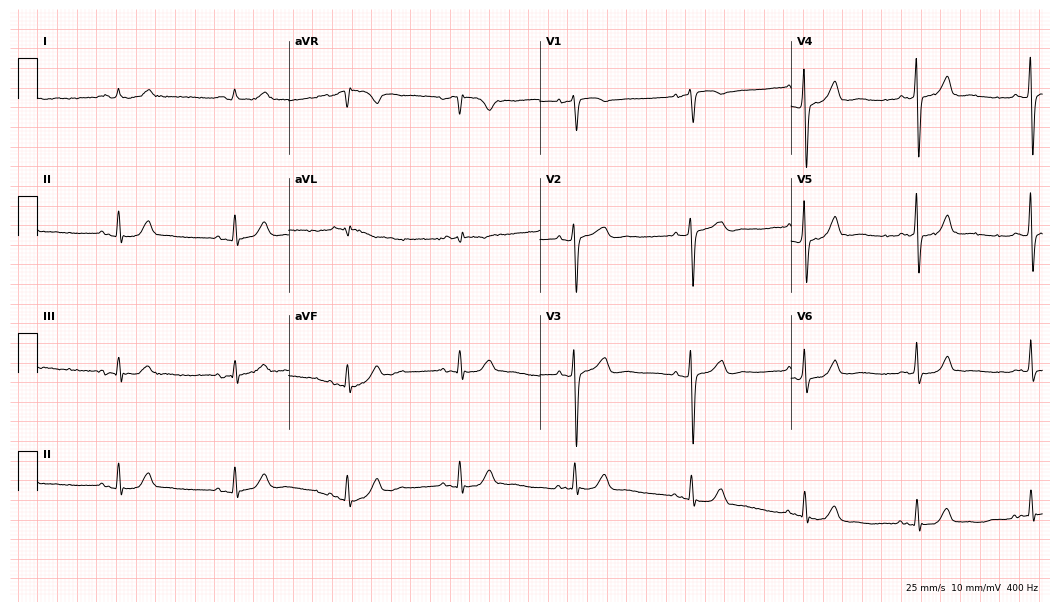
Standard 12-lead ECG recorded from an 80-year-old woman (10.2-second recording at 400 Hz). None of these six findings is recorded: first-degree AV block, right bundle branch block (RBBB), left bundle branch block (LBBB), sinus bradycardia, atrial fibrillation (AF), sinus tachycardia.